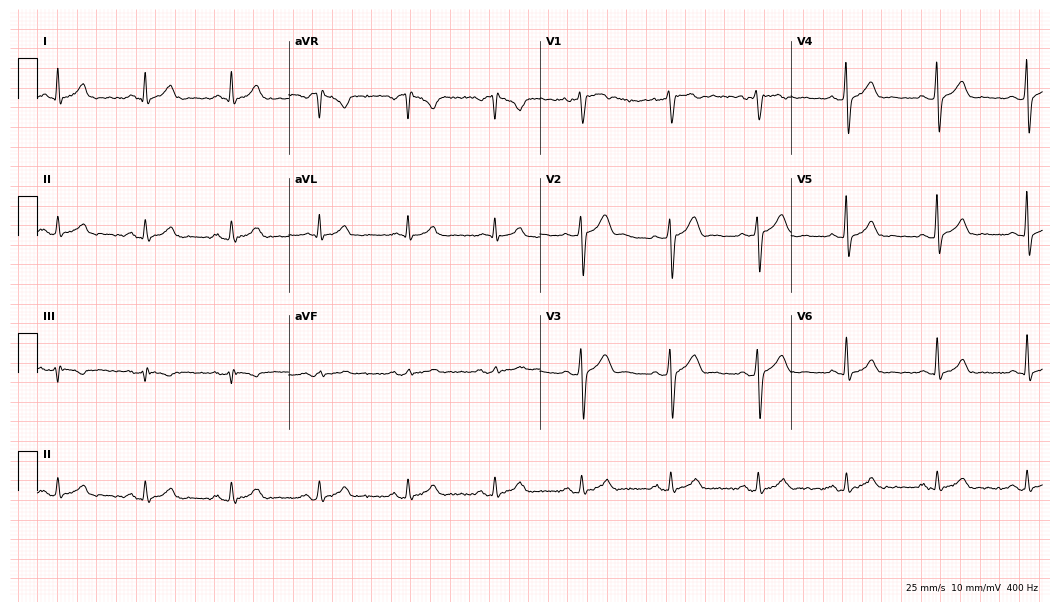
12-lead ECG from a male patient, 45 years old. Screened for six findings — first-degree AV block, right bundle branch block, left bundle branch block, sinus bradycardia, atrial fibrillation, sinus tachycardia — none is recorded.